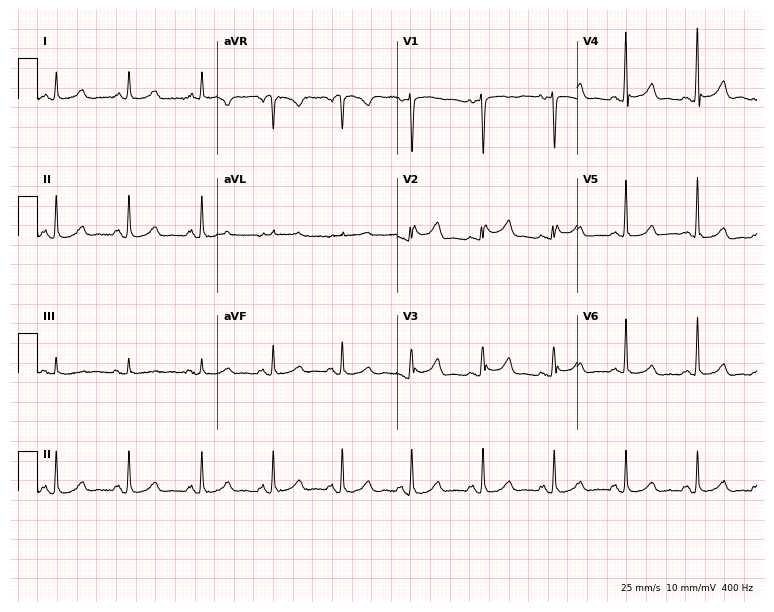
12-lead ECG from a 56-year-old woman (7.3-second recording at 400 Hz). No first-degree AV block, right bundle branch block, left bundle branch block, sinus bradycardia, atrial fibrillation or sinus tachycardia recorded for this tracing.